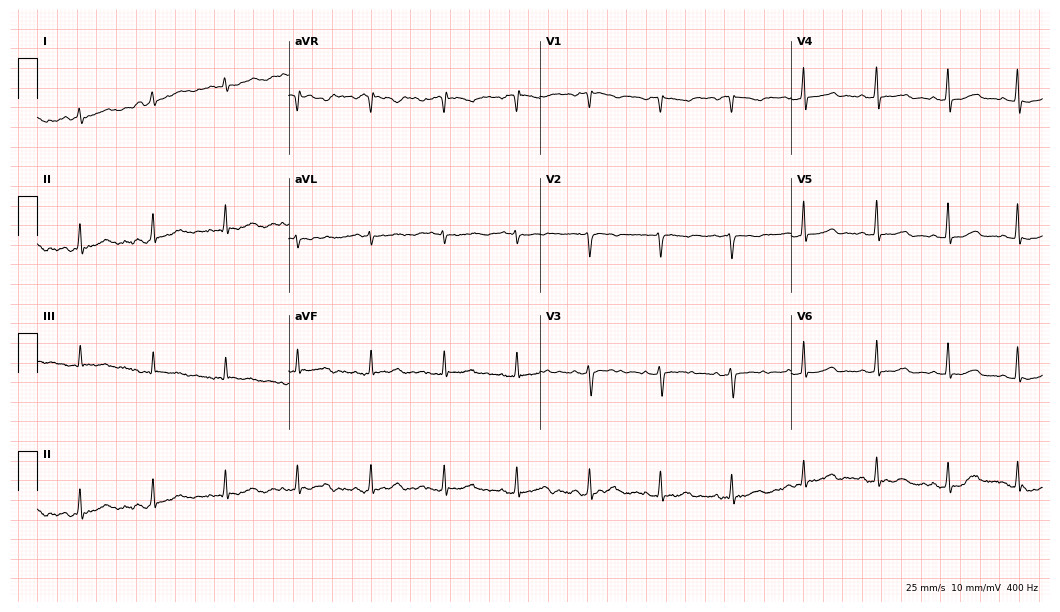
12-lead ECG from a 34-year-old female (10.2-second recording at 400 Hz). No first-degree AV block, right bundle branch block (RBBB), left bundle branch block (LBBB), sinus bradycardia, atrial fibrillation (AF) or sinus tachycardia recorded for this tracing.